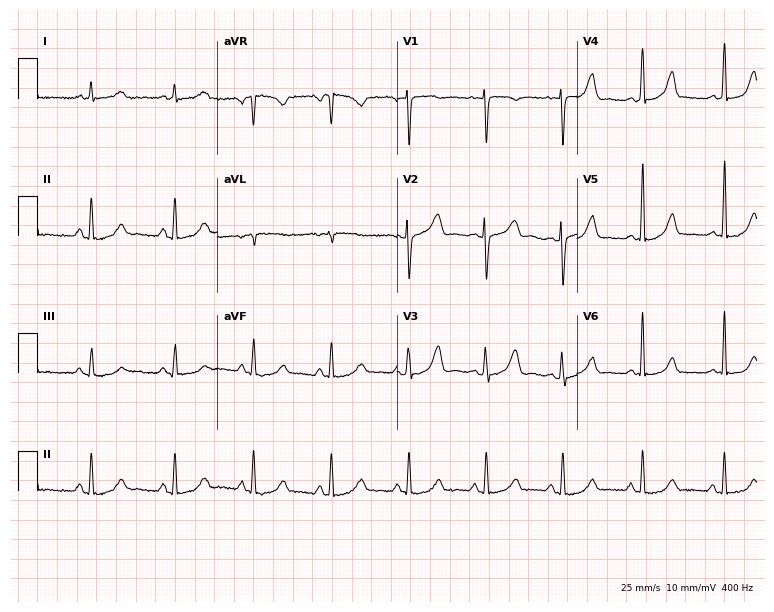
12-lead ECG from a female patient, 26 years old (7.3-second recording at 400 Hz). No first-degree AV block, right bundle branch block (RBBB), left bundle branch block (LBBB), sinus bradycardia, atrial fibrillation (AF) or sinus tachycardia recorded for this tracing.